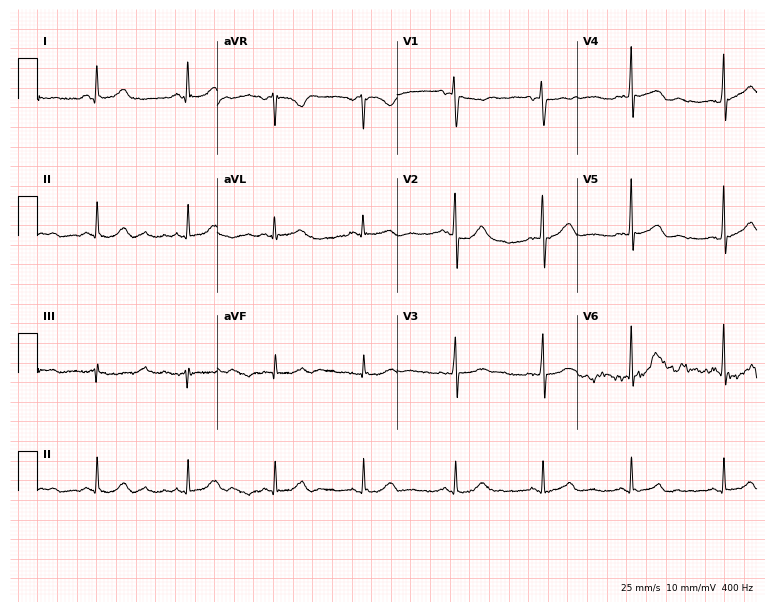
12-lead ECG from a 58-year-old female patient. Labelled as a normal ECG.